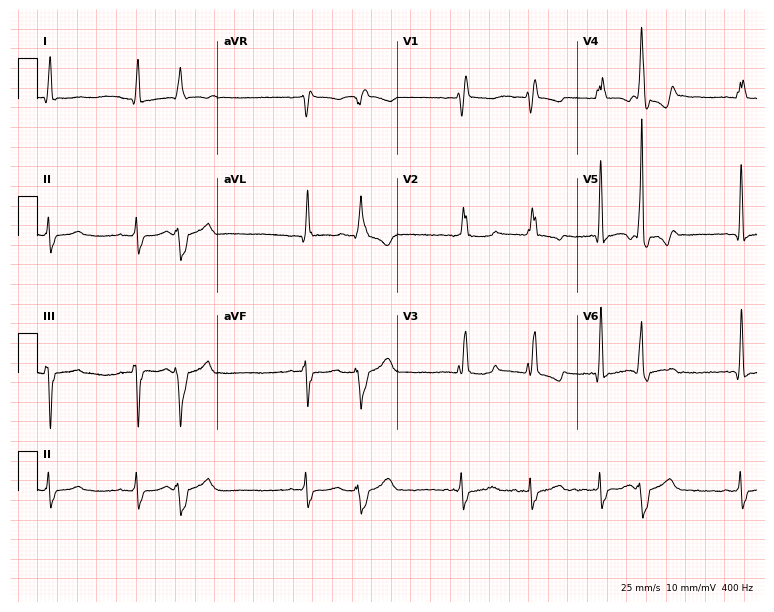
12-lead ECG from a 31-year-old woman (7.3-second recording at 400 Hz). Shows right bundle branch block (RBBB), atrial fibrillation (AF).